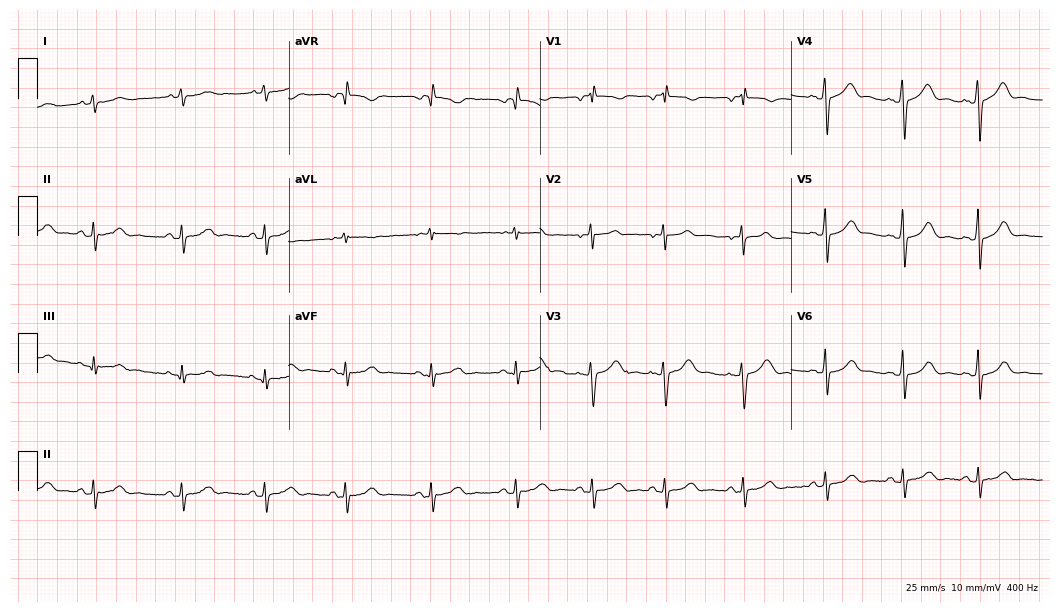
12-lead ECG from a female patient, 21 years old (10.2-second recording at 400 Hz). No first-degree AV block, right bundle branch block (RBBB), left bundle branch block (LBBB), sinus bradycardia, atrial fibrillation (AF) or sinus tachycardia recorded for this tracing. Other findings, if any, are not listed.